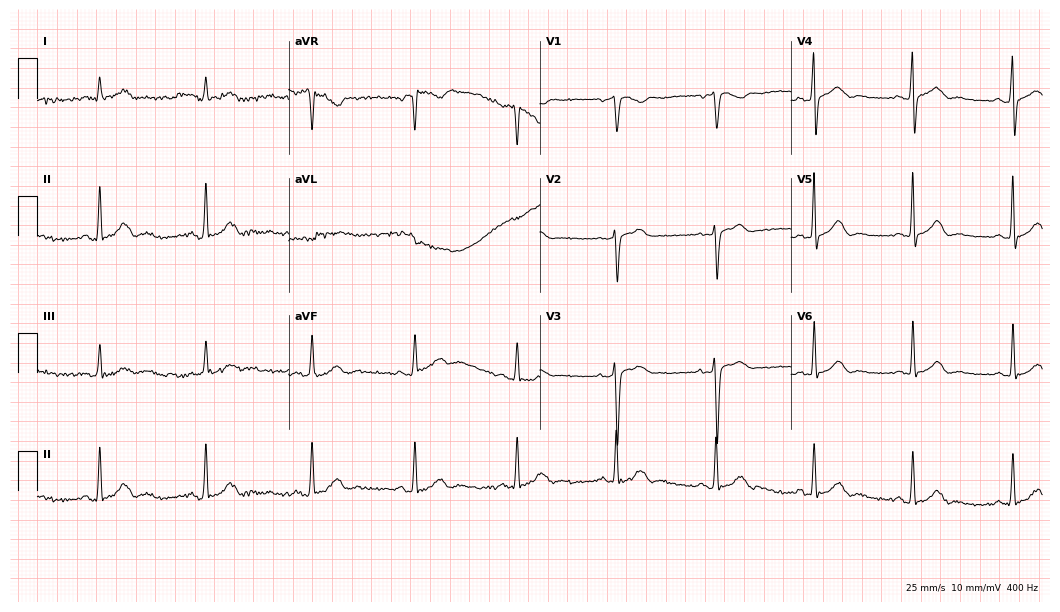
Resting 12-lead electrocardiogram. Patient: a male, 50 years old. None of these six findings is recorded: first-degree AV block, right bundle branch block (RBBB), left bundle branch block (LBBB), sinus bradycardia, atrial fibrillation (AF), sinus tachycardia. Only these six findings were labelled.